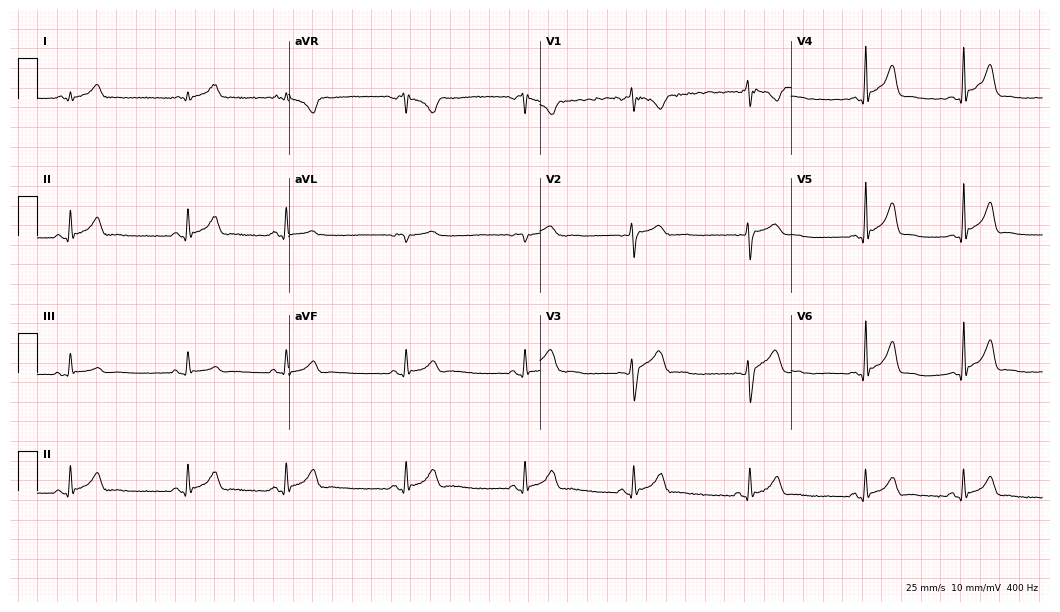
Standard 12-lead ECG recorded from a 21-year-old man. Read as a normal ECG.